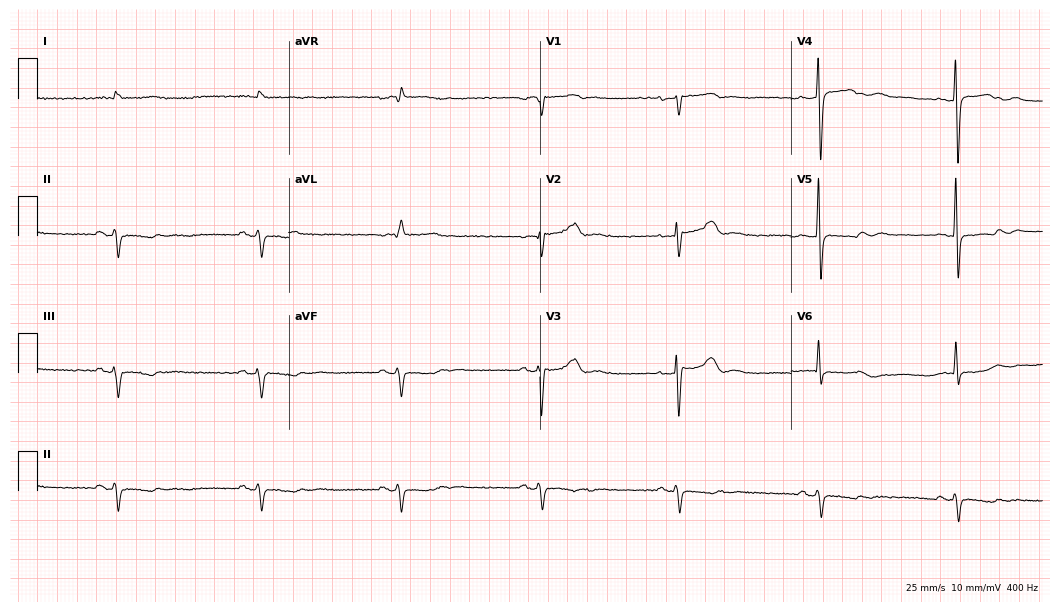
Resting 12-lead electrocardiogram. Patient: a 60-year-old male. The tracing shows sinus bradycardia (a sinus rate of 50 beats per minute or less).